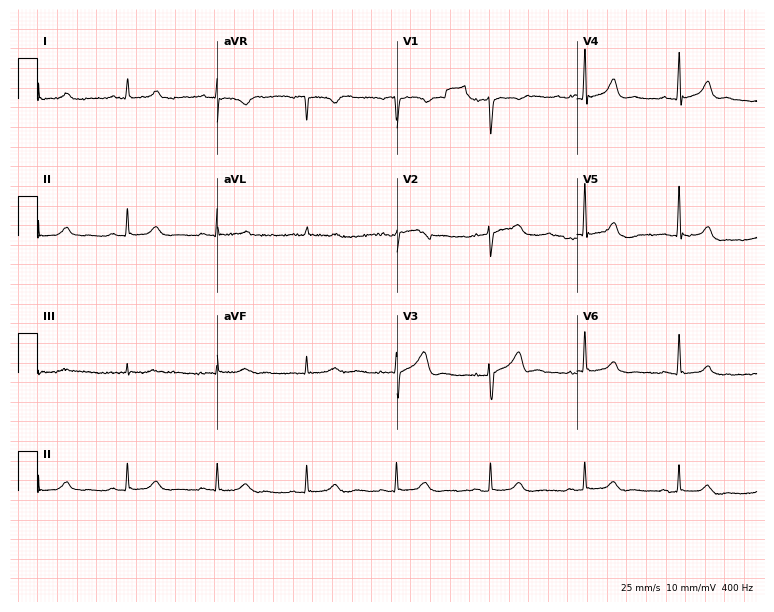
Electrocardiogram (7.3-second recording at 400 Hz), a male patient, 60 years old. Overall reading on record: normal ECG.